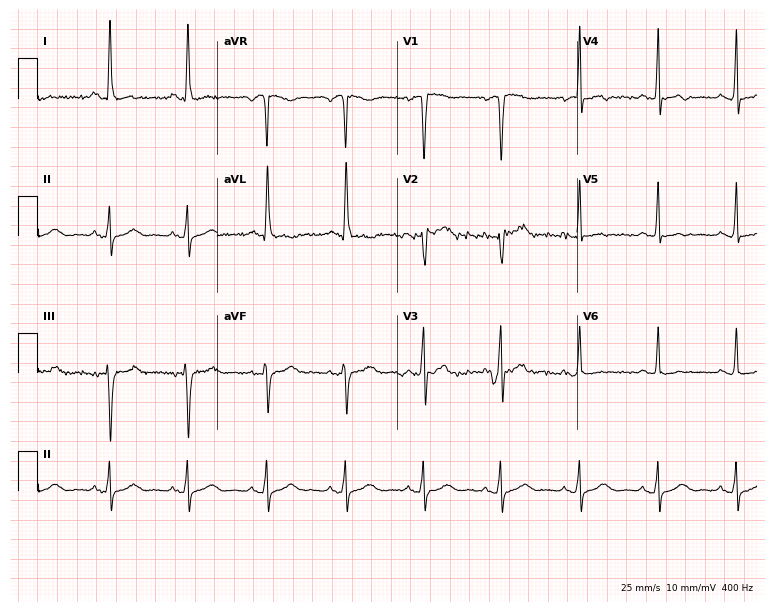
Standard 12-lead ECG recorded from a 42-year-old female (7.3-second recording at 400 Hz). Read as a normal ECG.